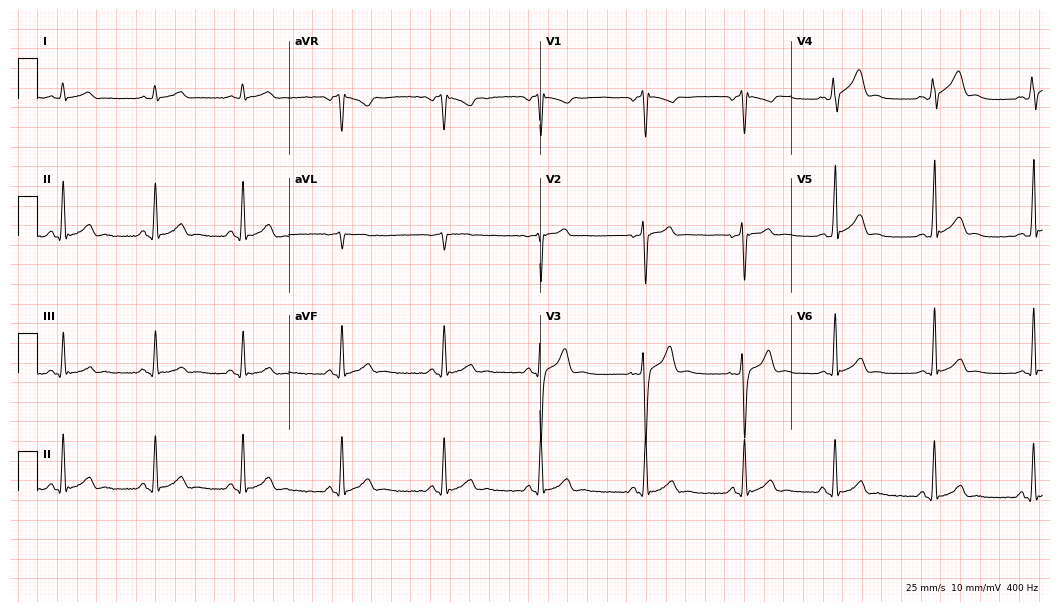
12-lead ECG from a male, 25 years old. Screened for six findings — first-degree AV block, right bundle branch block, left bundle branch block, sinus bradycardia, atrial fibrillation, sinus tachycardia — none is recorded.